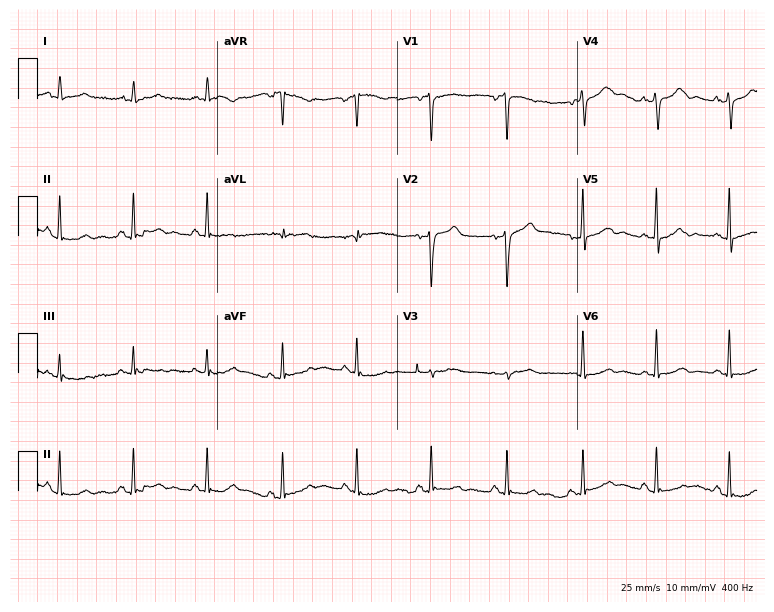
12-lead ECG from a 53-year-old female. Recorded interpretation: within normal limits.